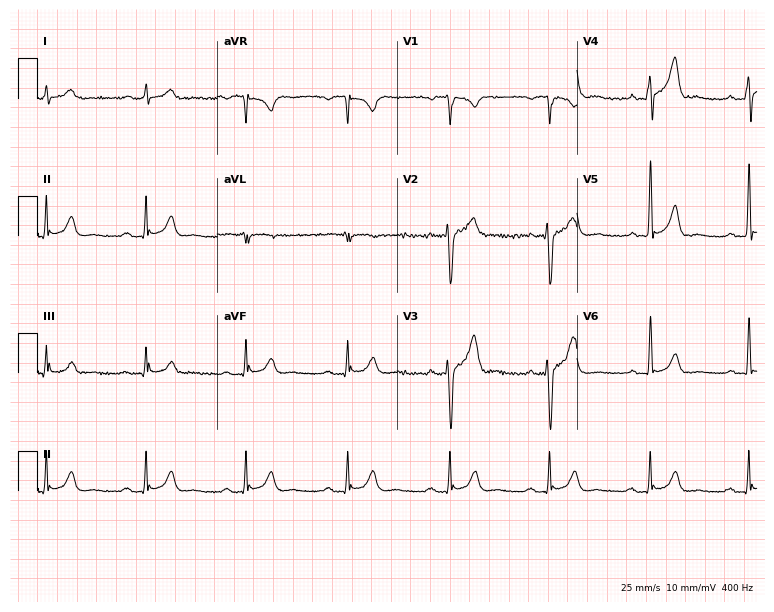
Electrocardiogram (7.3-second recording at 400 Hz), a male, 52 years old. Overall reading on record: normal ECG.